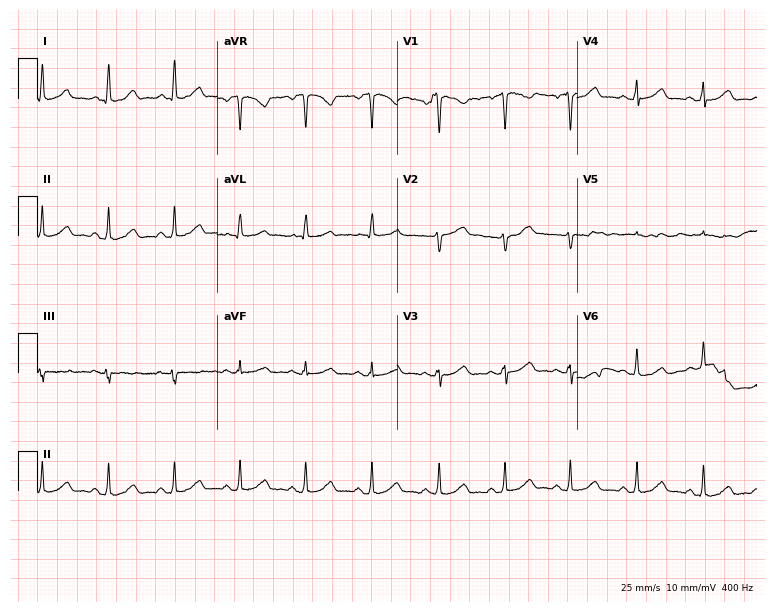
Standard 12-lead ECG recorded from a 43-year-old female (7.3-second recording at 400 Hz). Read as a normal ECG.